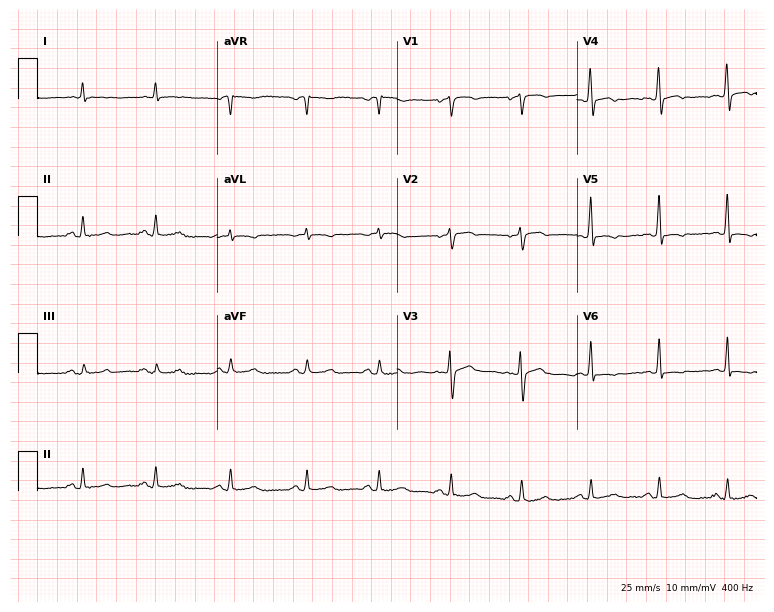
12-lead ECG from a female, 47 years old (7.3-second recording at 400 Hz). No first-degree AV block, right bundle branch block (RBBB), left bundle branch block (LBBB), sinus bradycardia, atrial fibrillation (AF) or sinus tachycardia recorded for this tracing.